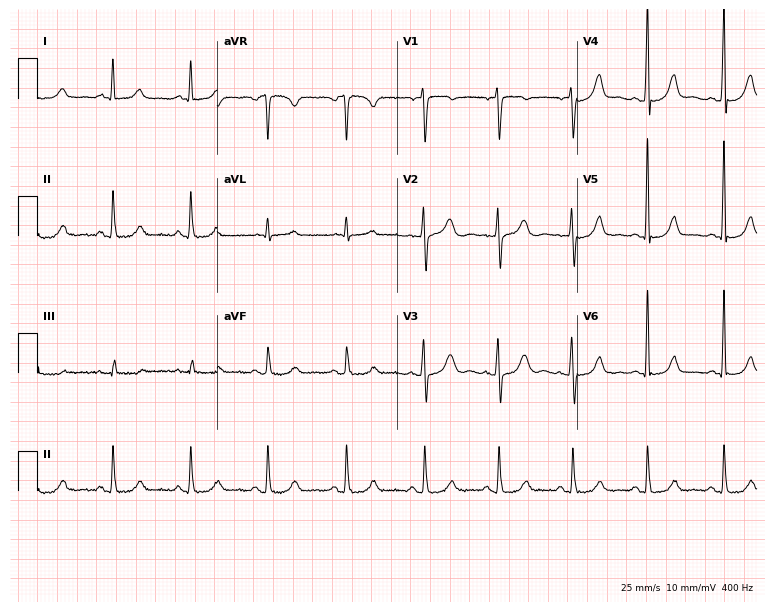
Standard 12-lead ECG recorded from a 35-year-old female (7.3-second recording at 400 Hz). None of these six findings is recorded: first-degree AV block, right bundle branch block, left bundle branch block, sinus bradycardia, atrial fibrillation, sinus tachycardia.